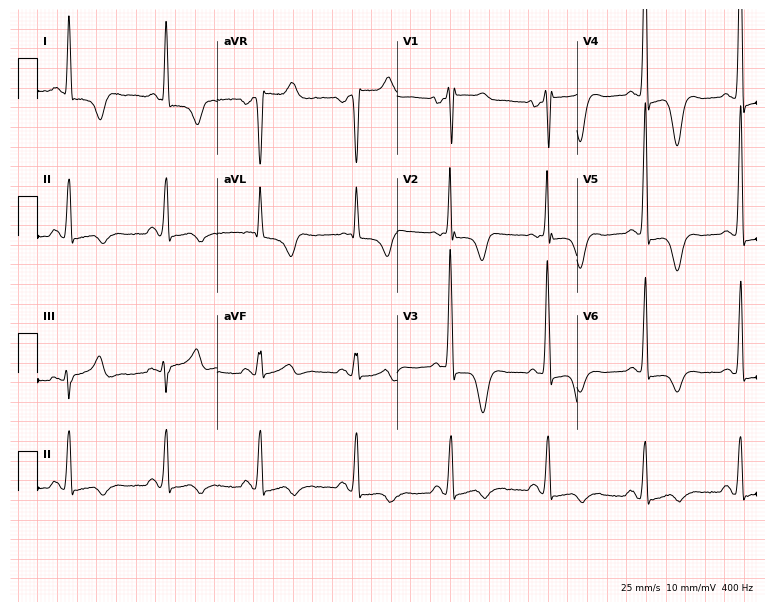
Resting 12-lead electrocardiogram (7.3-second recording at 400 Hz). Patient: a female, 71 years old. None of these six findings is recorded: first-degree AV block, right bundle branch block (RBBB), left bundle branch block (LBBB), sinus bradycardia, atrial fibrillation (AF), sinus tachycardia. Findings outside these six are not listed.